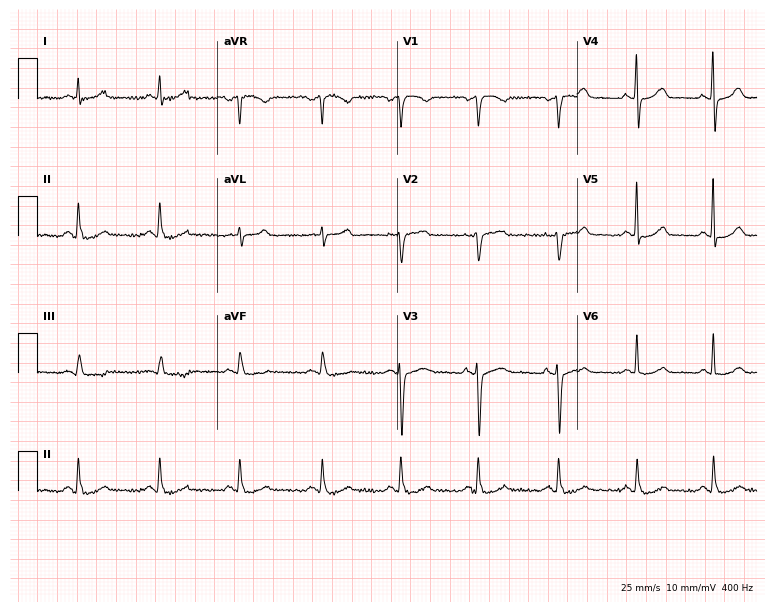
Resting 12-lead electrocardiogram (7.3-second recording at 400 Hz). Patient: a female, 55 years old. Read as a normal ECG.